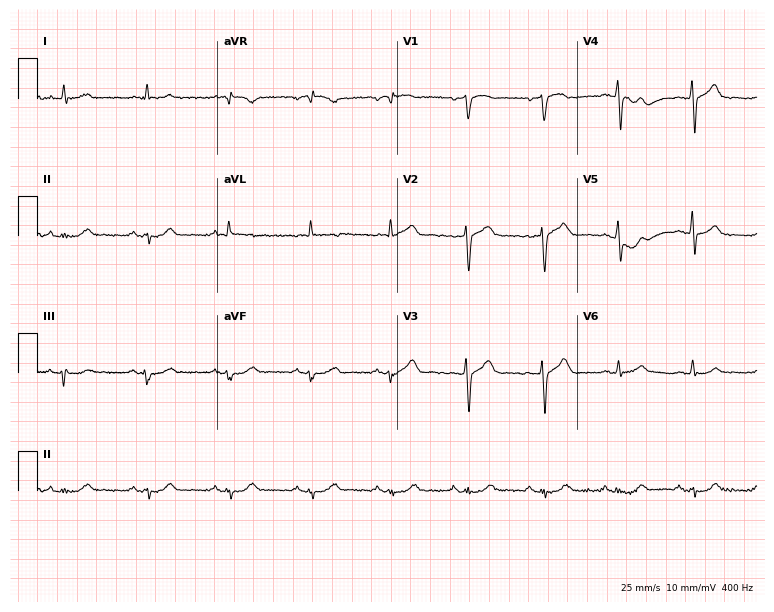
12-lead ECG from a 58-year-old male patient. Screened for six findings — first-degree AV block, right bundle branch block, left bundle branch block, sinus bradycardia, atrial fibrillation, sinus tachycardia — none is recorded.